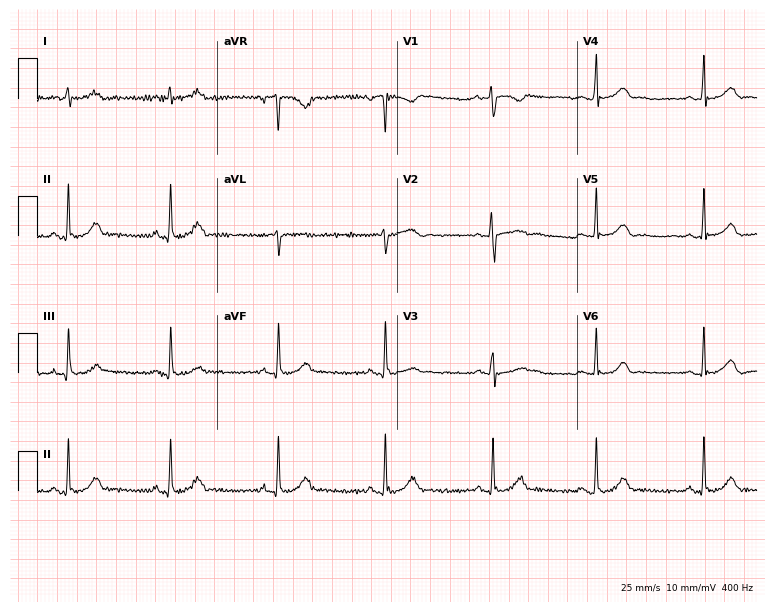
Resting 12-lead electrocardiogram. Patient: a woman, 50 years old. None of these six findings is recorded: first-degree AV block, right bundle branch block, left bundle branch block, sinus bradycardia, atrial fibrillation, sinus tachycardia.